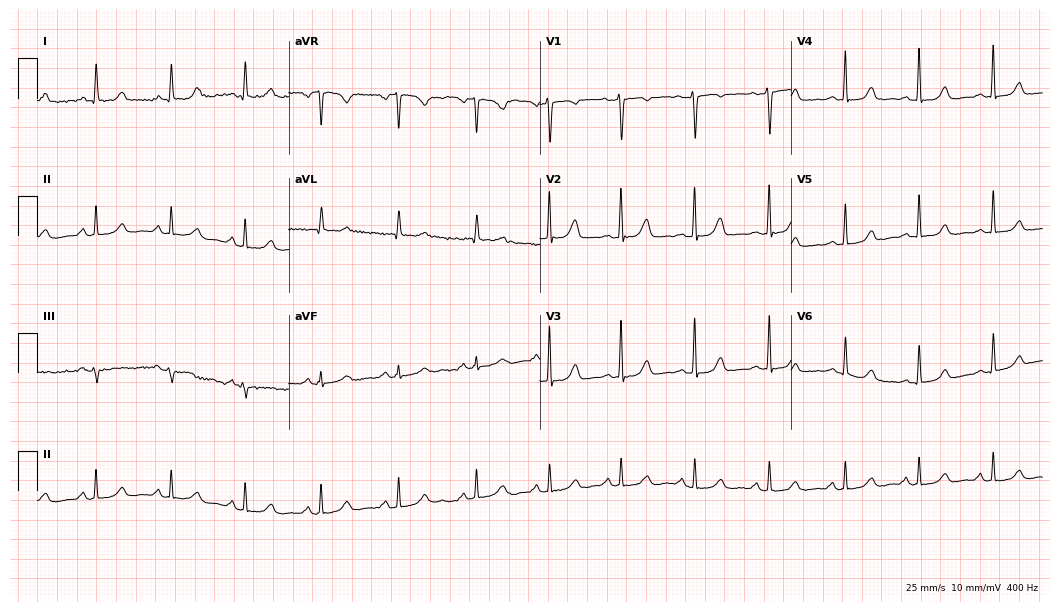
Electrocardiogram (10.2-second recording at 400 Hz), a 40-year-old female. Of the six screened findings (first-degree AV block, right bundle branch block, left bundle branch block, sinus bradycardia, atrial fibrillation, sinus tachycardia), none is recorded.